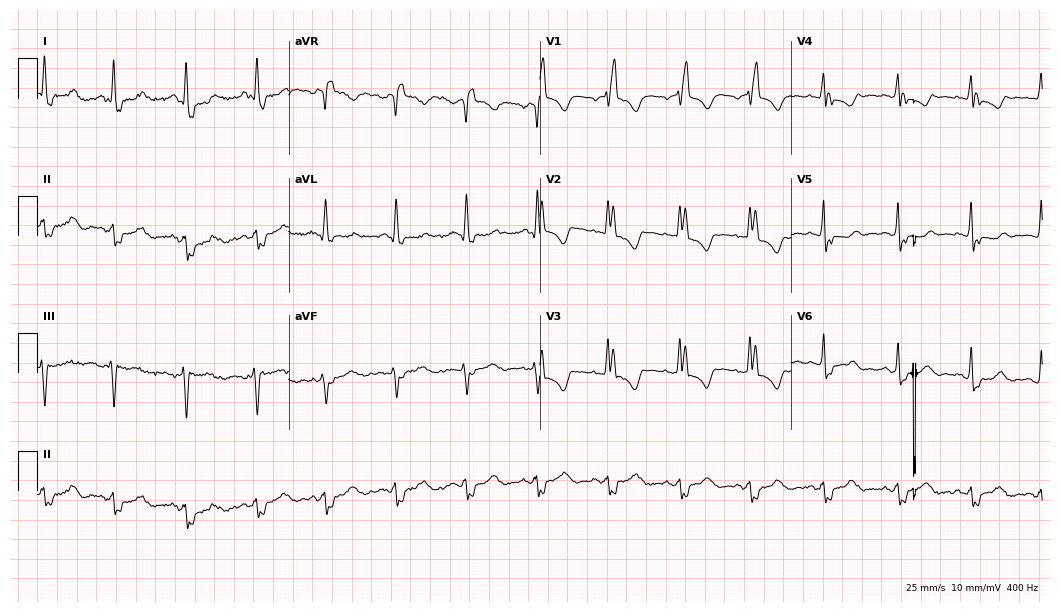
12-lead ECG from a 58-year-old female patient. Findings include right bundle branch block.